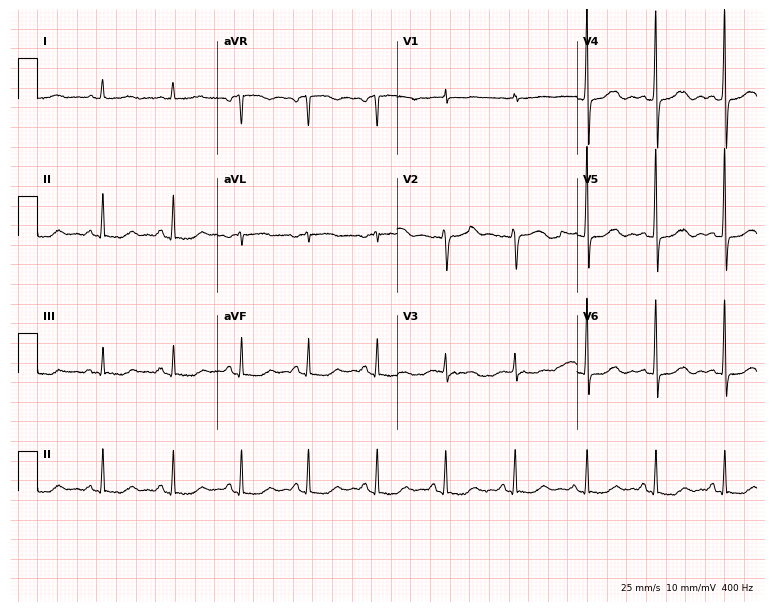
Electrocardiogram, a 39-year-old woman. Overall reading on record: normal ECG.